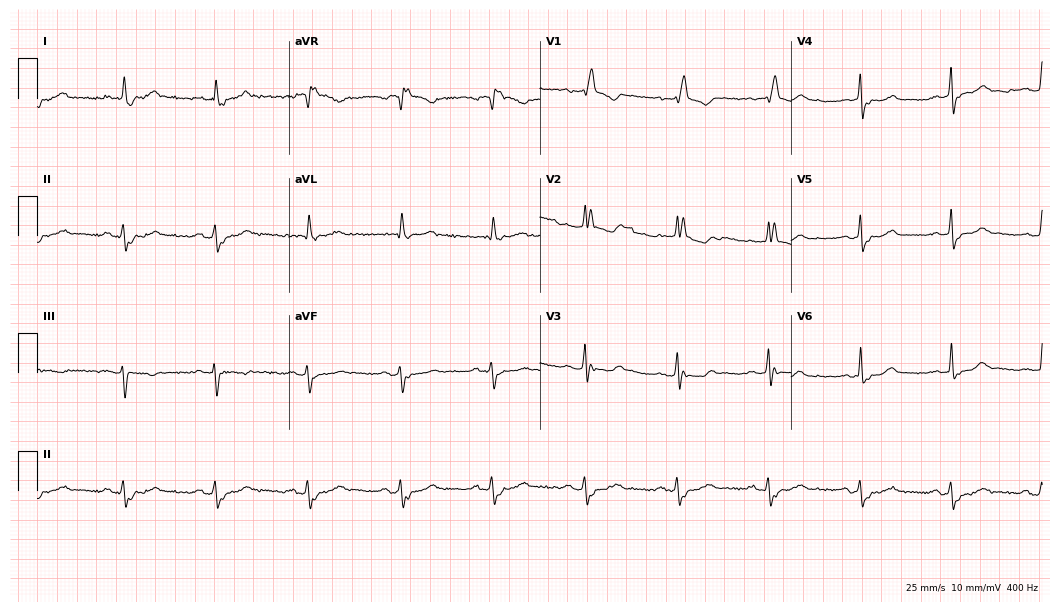
12-lead ECG (10.2-second recording at 400 Hz) from a man, 72 years old. Findings include right bundle branch block.